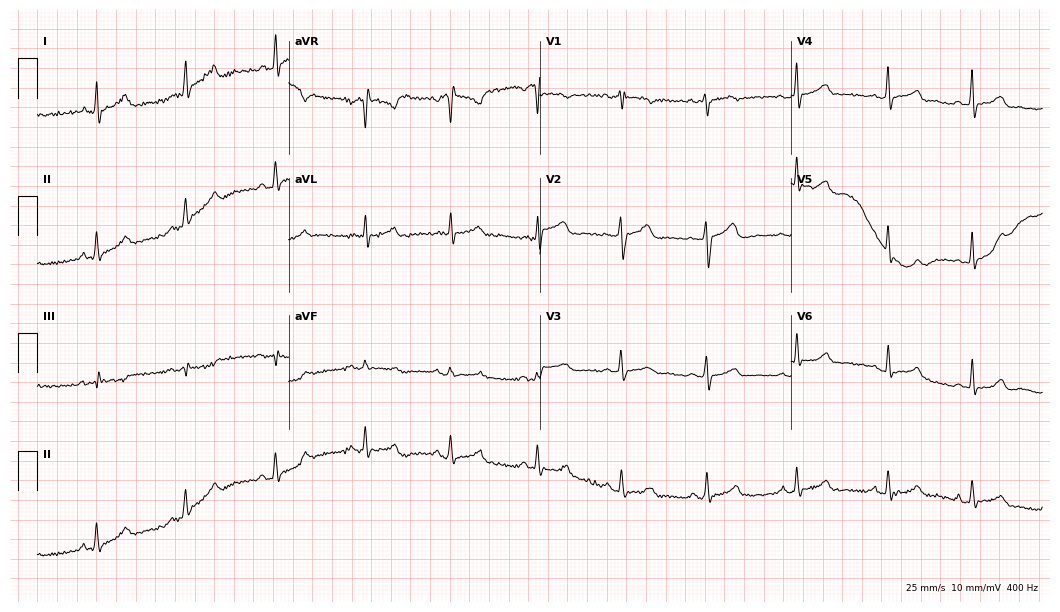
Resting 12-lead electrocardiogram. Patient: a female, 38 years old. Read as a normal ECG.